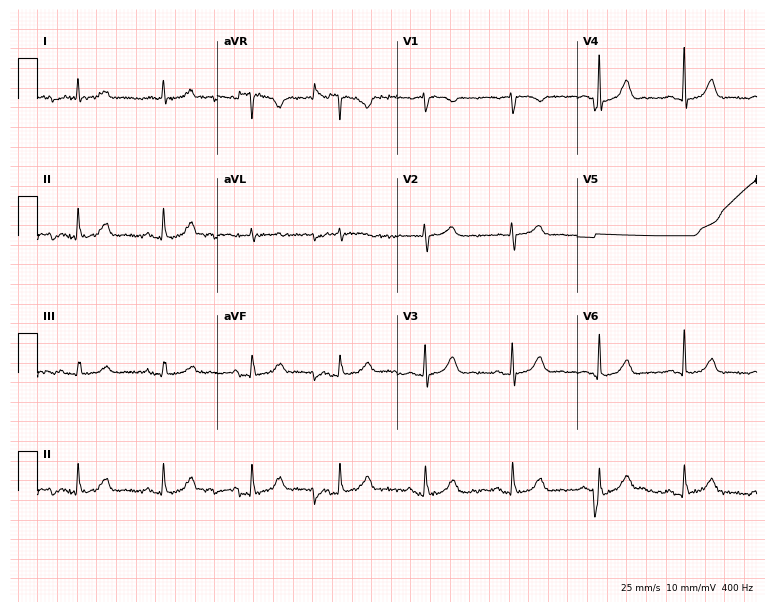
Resting 12-lead electrocardiogram. Patient: a woman, 73 years old. None of these six findings is recorded: first-degree AV block, right bundle branch block, left bundle branch block, sinus bradycardia, atrial fibrillation, sinus tachycardia. Findings outside these six are not listed.